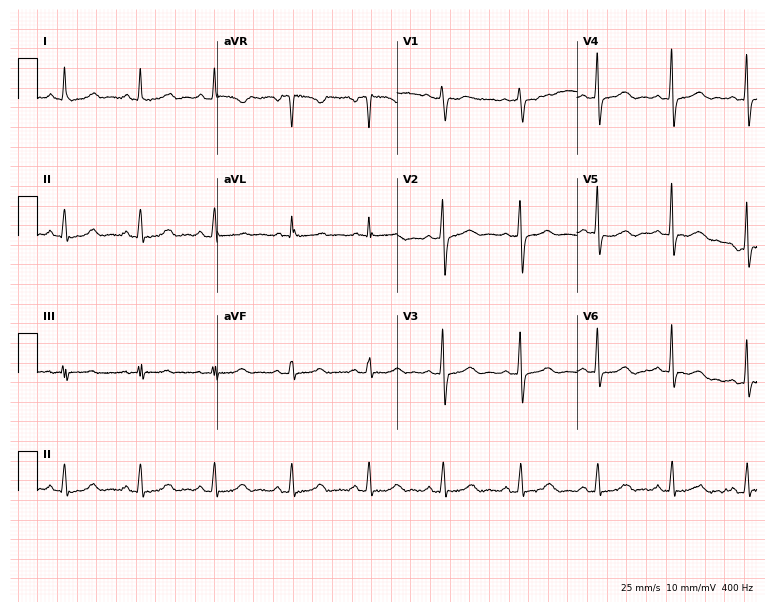
12-lead ECG from a woman, 52 years old. Screened for six findings — first-degree AV block, right bundle branch block, left bundle branch block, sinus bradycardia, atrial fibrillation, sinus tachycardia — none is recorded.